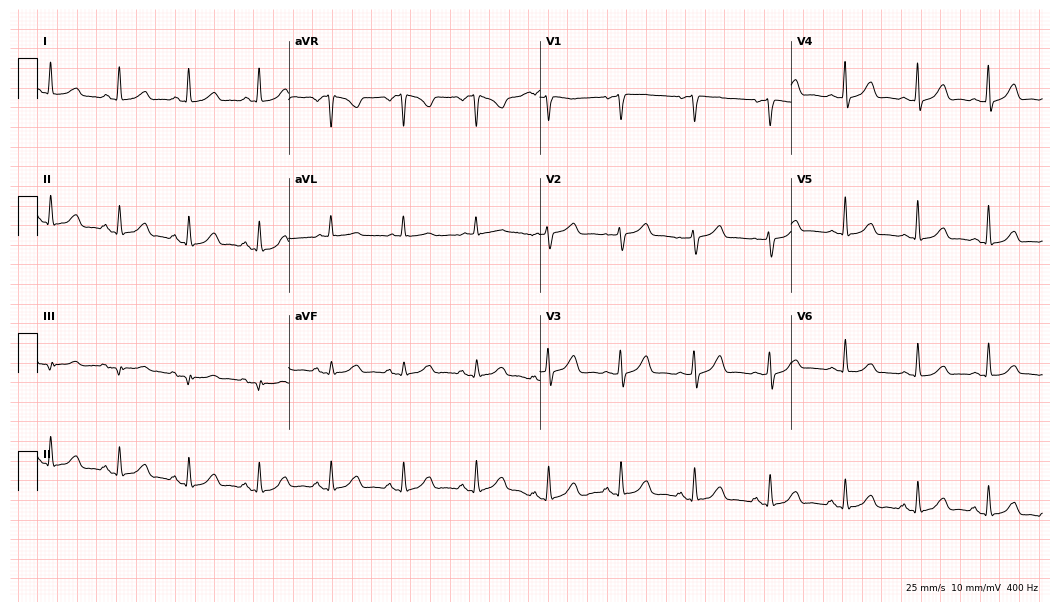
ECG (10.2-second recording at 400 Hz) — a female, 61 years old. Screened for six findings — first-degree AV block, right bundle branch block, left bundle branch block, sinus bradycardia, atrial fibrillation, sinus tachycardia — none is recorded. Other findings, if any, are not listed.